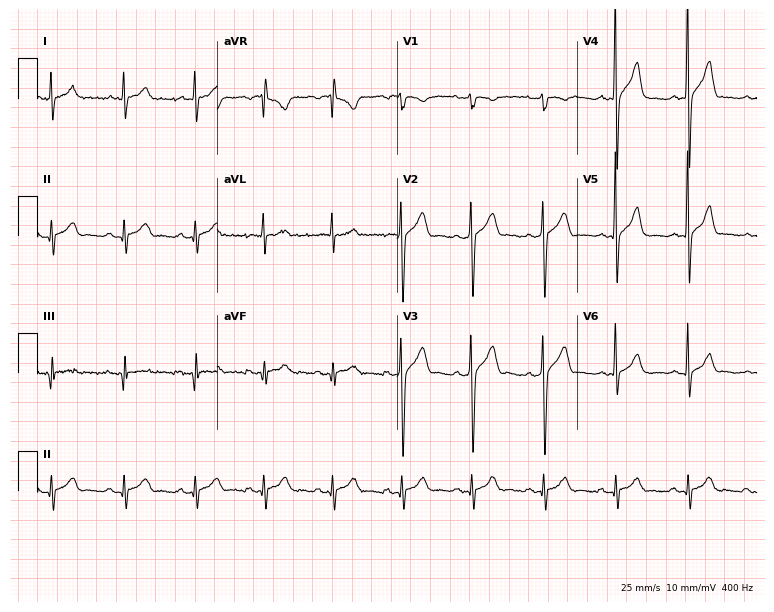
Electrocardiogram (7.3-second recording at 400 Hz), a 53-year-old man. Of the six screened findings (first-degree AV block, right bundle branch block (RBBB), left bundle branch block (LBBB), sinus bradycardia, atrial fibrillation (AF), sinus tachycardia), none is recorded. Findings outside these six are not listed.